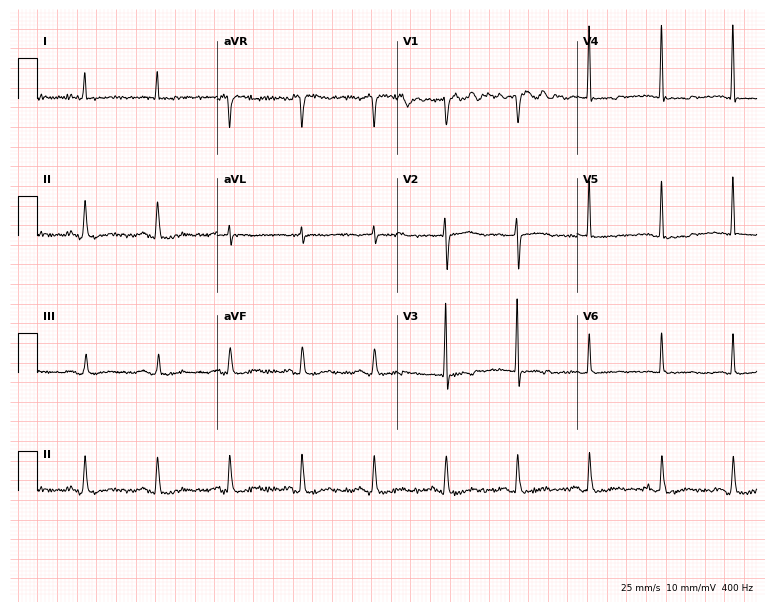
12-lead ECG (7.3-second recording at 400 Hz) from a 66-year-old female patient. Screened for six findings — first-degree AV block, right bundle branch block, left bundle branch block, sinus bradycardia, atrial fibrillation, sinus tachycardia — none is recorded.